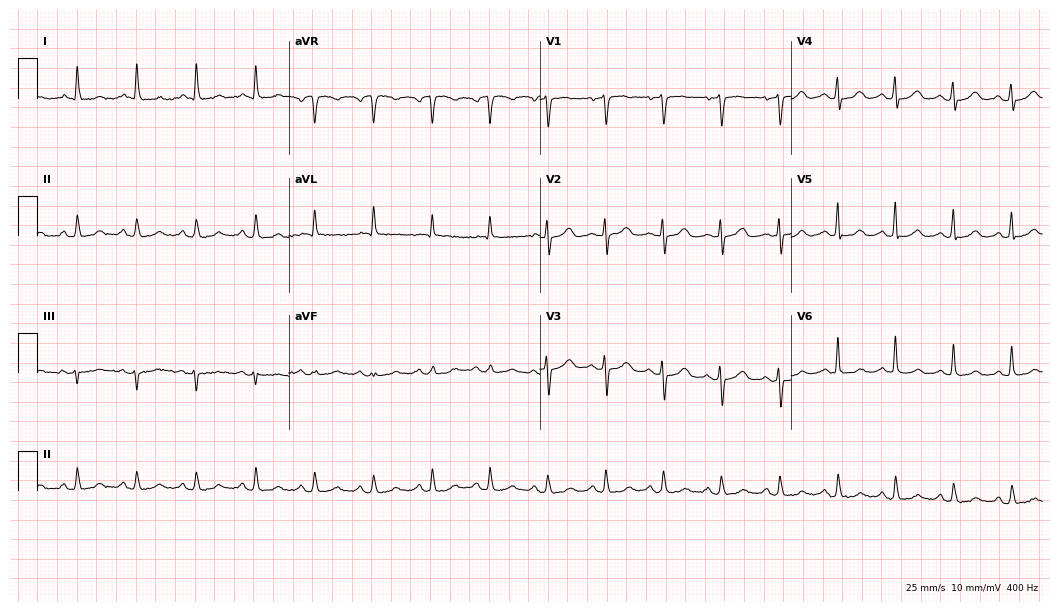
ECG — a woman, 75 years old. Findings include sinus tachycardia (a sinus rate of 100 beats per minute or more).